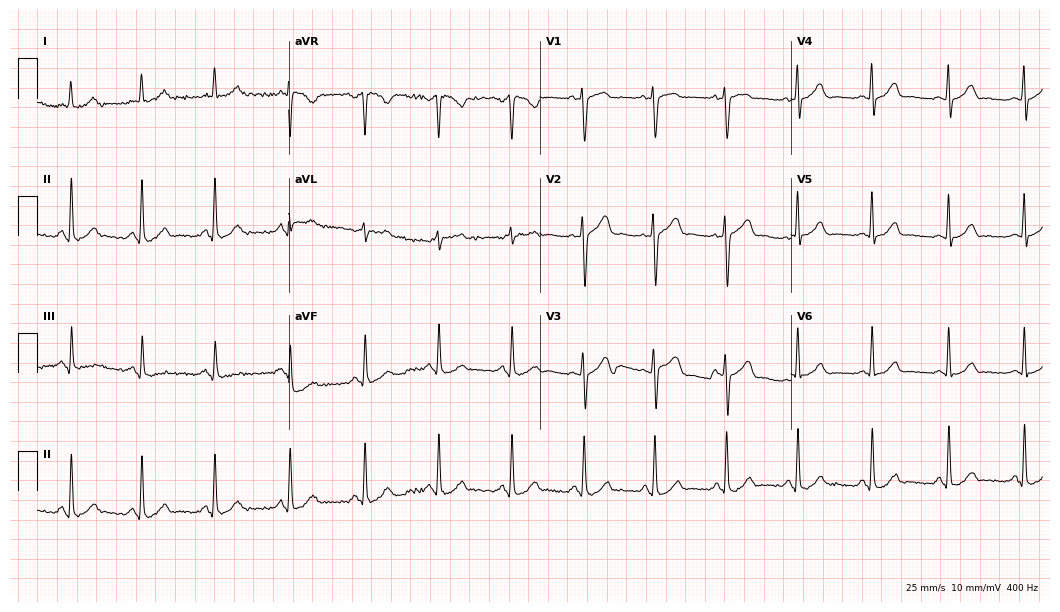
12-lead ECG from a 41-year-old female. Labelled as a normal ECG.